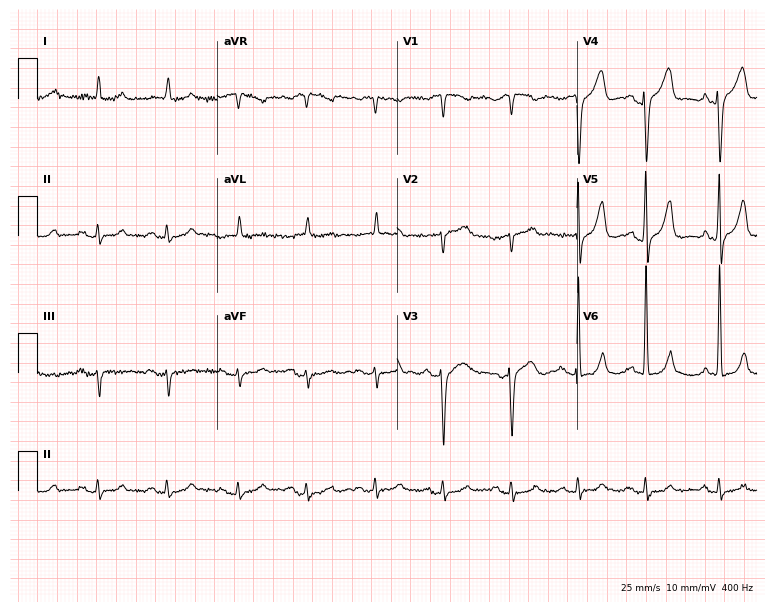
ECG (7.3-second recording at 400 Hz) — a 74-year-old female. Labelled as a normal ECG.